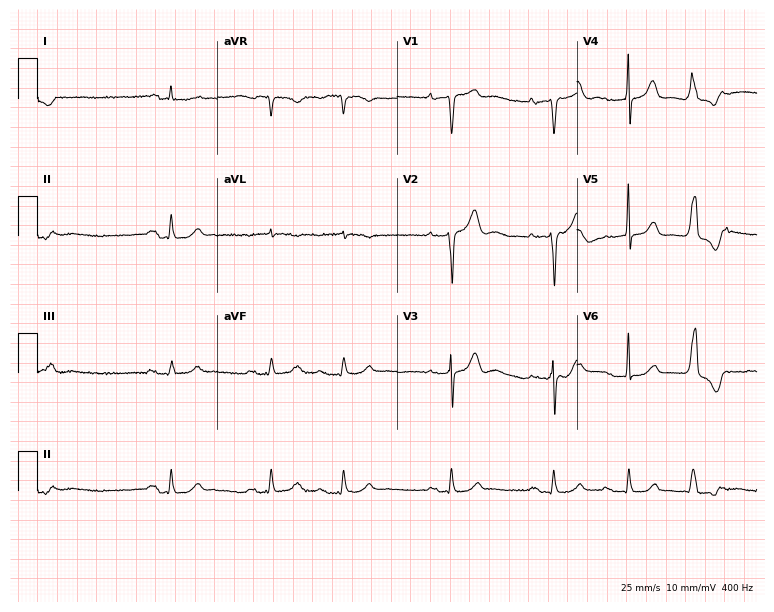
12-lead ECG from a male, 84 years old. Findings include first-degree AV block.